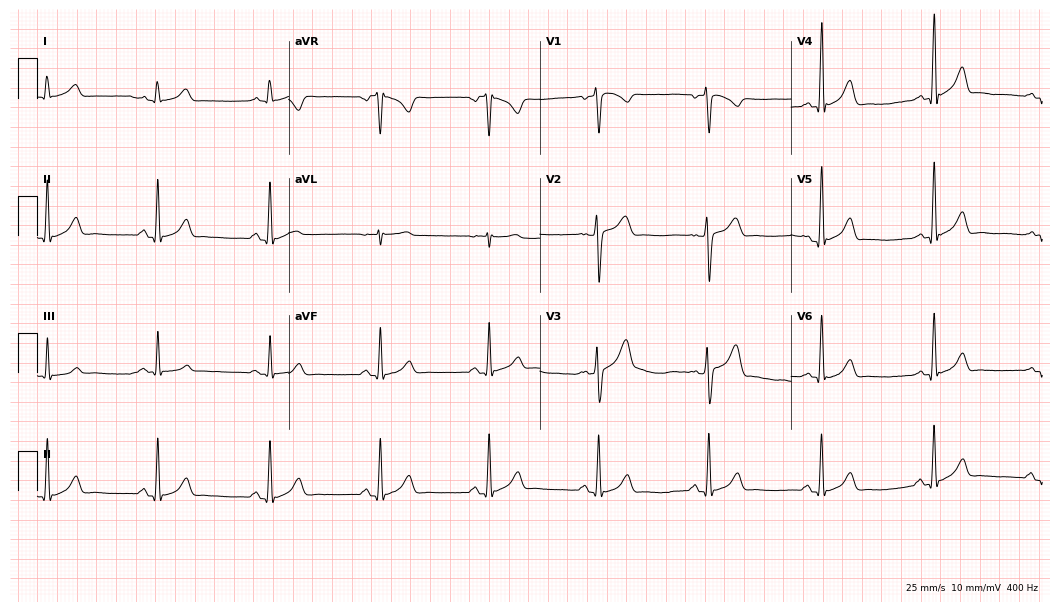
12-lead ECG (10.2-second recording at 400 Hz) from a male, 44 years old. Labelled as a normal ECG.